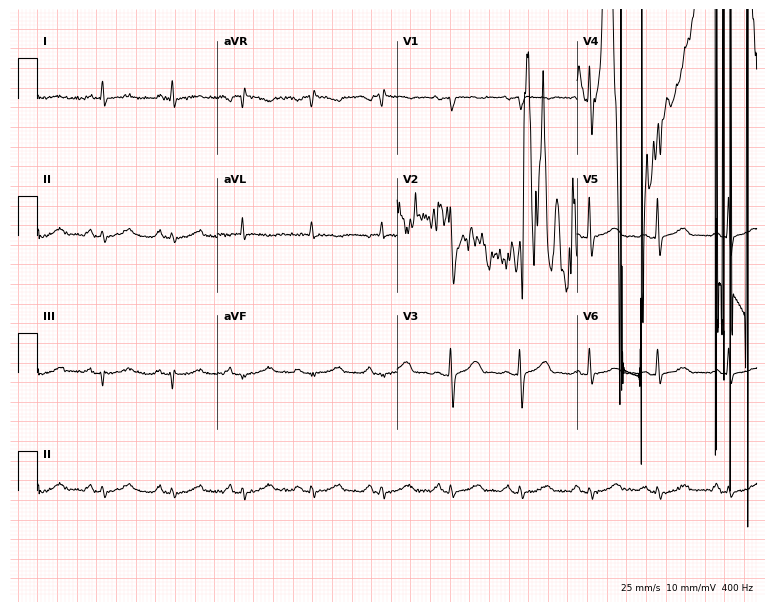
Electrocardiogram (7.3-second recording at 400 Hz), a woman, 81 years old. Of the six screened findings (first-degree AV block, right bundle branch block, left bundle branch block, sinus bradycardia, atrial fibrillation, sinus tachycardia), none is recorded.